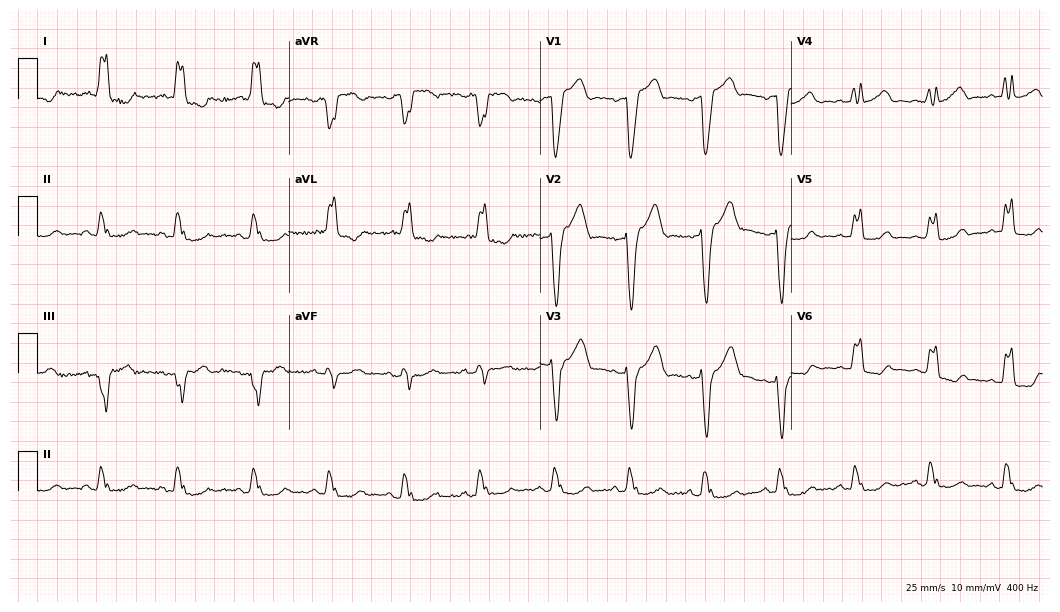
Electrocardiogram (10.2-second recording at 400 Hz), a woman, 83 years old. Interpretation includes left bundle branch block.